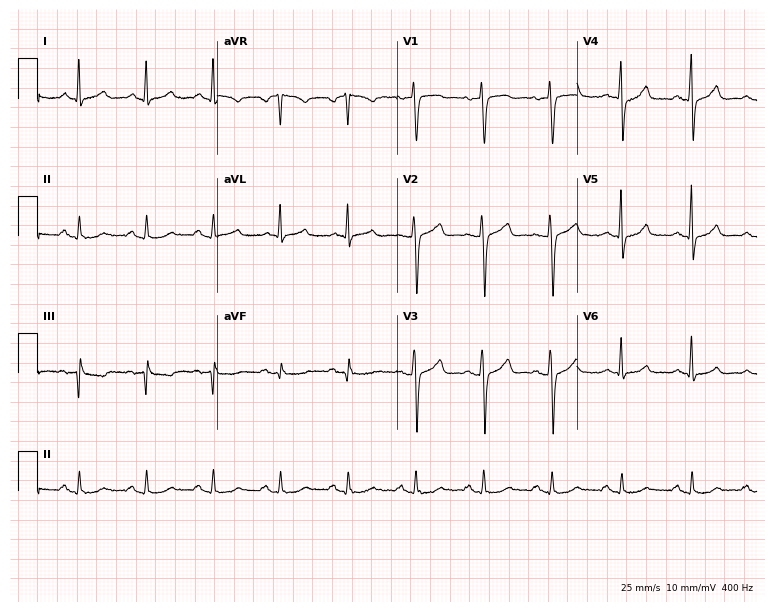
Resting 12-lead electrocardiogram. Patient: a female, 65 years old. Read as a normal ECG.